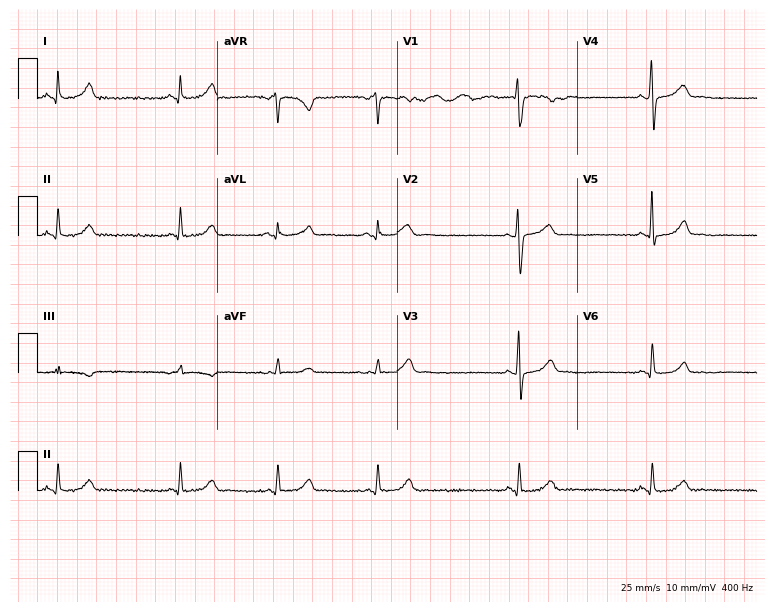
Resting 12-lead electrocardiogram. Patient: a 27-year-old female. None of these six findings is recorded: first-degree AV block, right bundle branch block, left bundle branch block, sinus bradycardia, atrial fibrillation, sinus tachycardia. Other findings, if any, are not listed.